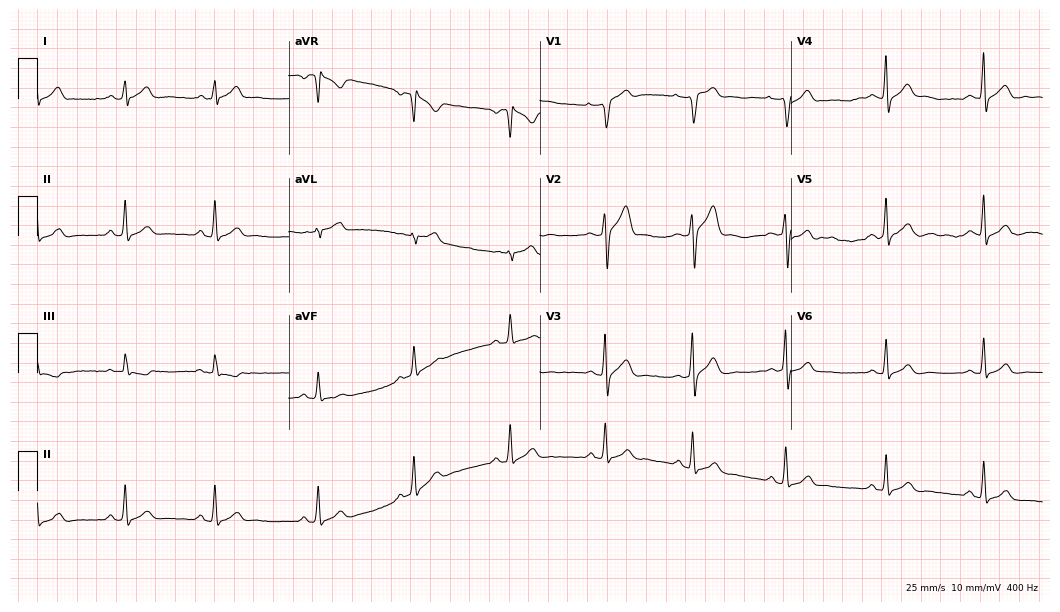
ECG (10.2-second recording at 400 Hz) — a 25-year-old male patient. Labelled as a normal ECG.